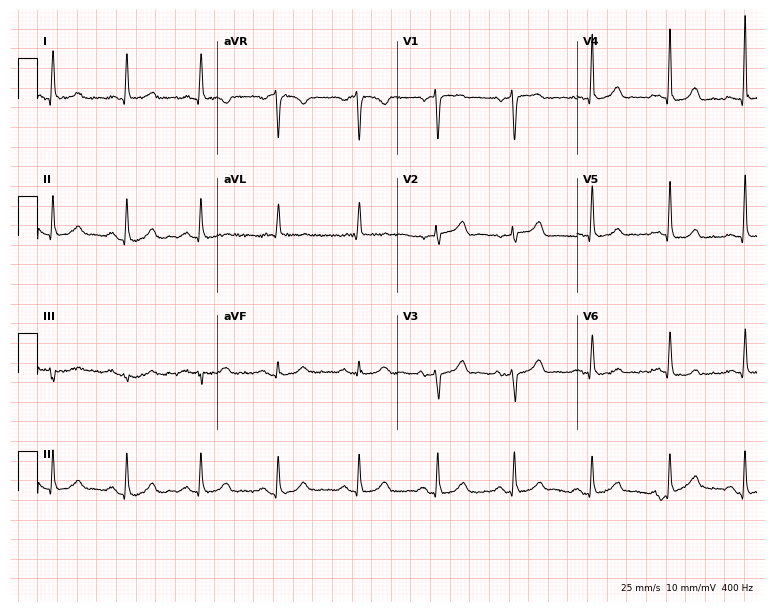
12-lead ECG from a woman, 54 years old. Screened for six findings — first-degree AV block, right bundle branch block, left bundle branch block, sinus bradycardia, atrial fibrillation, sinus tachycardia — none is recorded.